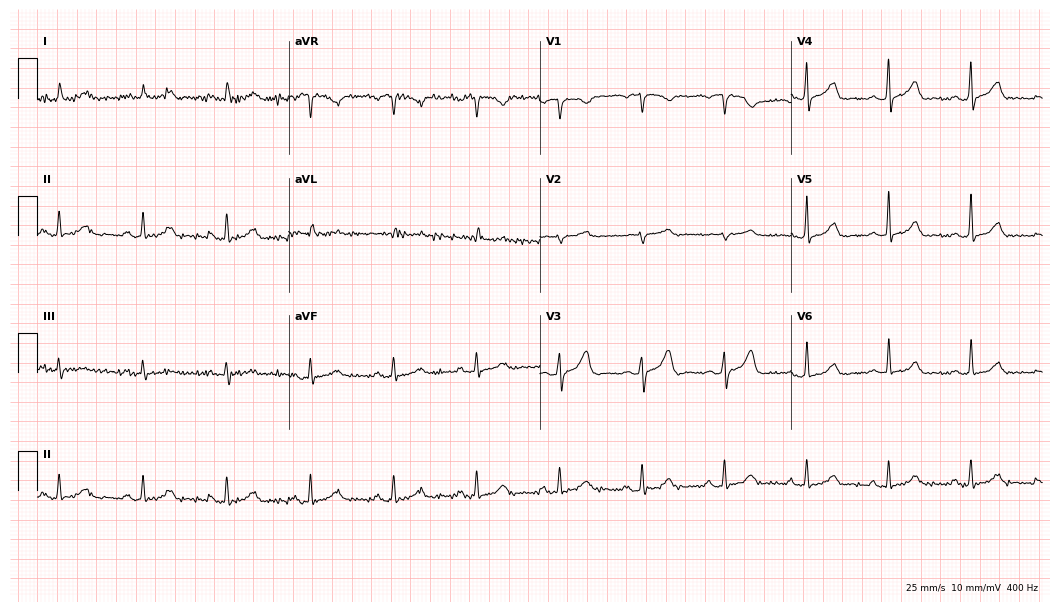
Standard 12-lead ECG recorded from an 82-year-old female (10.2-second recording at 400 Hz). Read as a normal ECG.